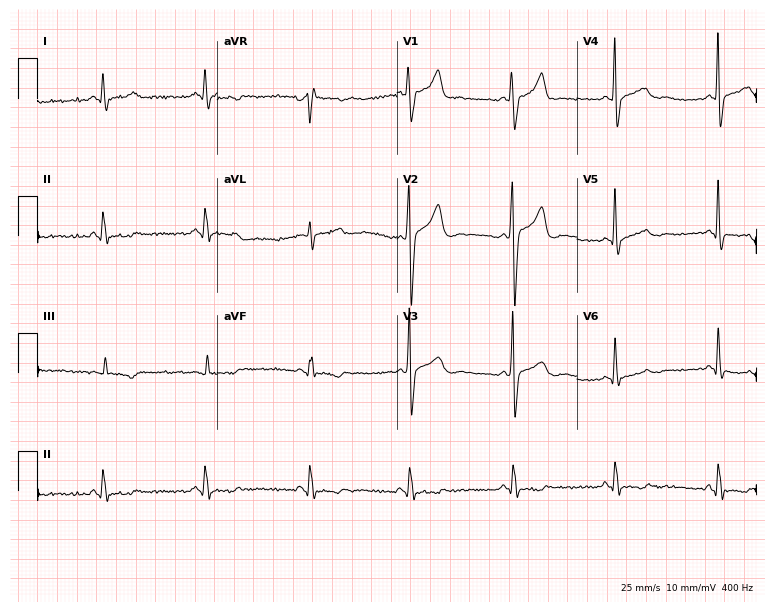
Resting 12-lead electrocardiogram. Patient: a male, 39 years old. None of these six findings is recorded: first-degree AV block, right bundle branch block, left bundle branch block, sinus bradycardia, atrial fibrillation, sinus tachycardia.